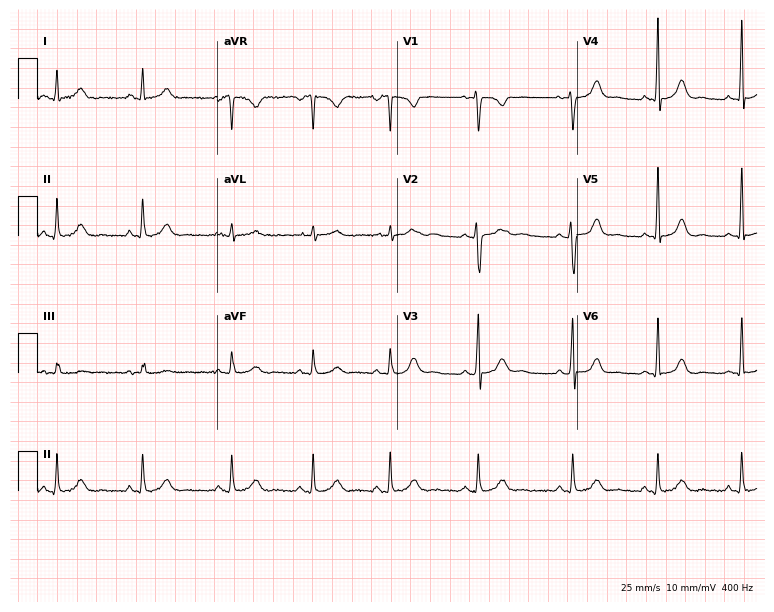
12-lead ECG from a 30-year-old female patient. Recorded interpretation: within normal limits.